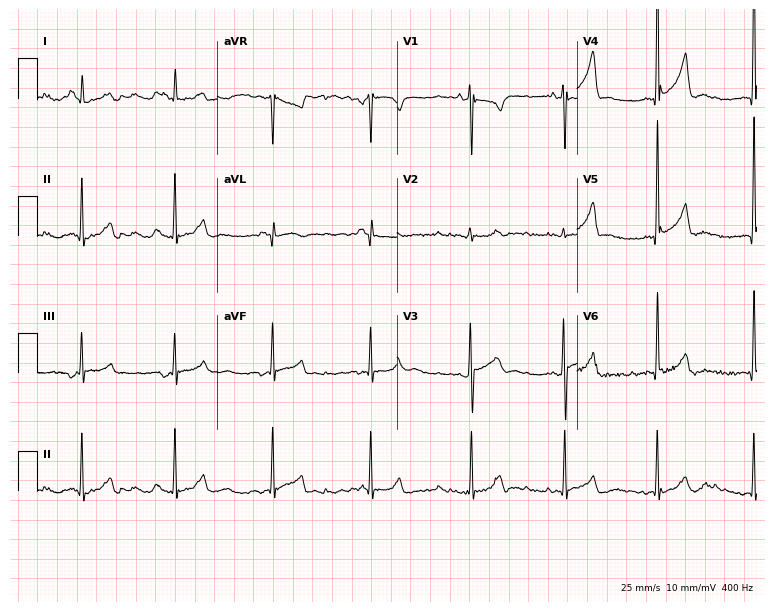
12-lead ECG from a 17-year-old male patient. No first-degree AV block, right bundle branch block (RBBB), left bundle branch block (LBBB), sinus bradycardia, atrial fibrillation (AF) or sinus tachycardia recorded for this tracing.